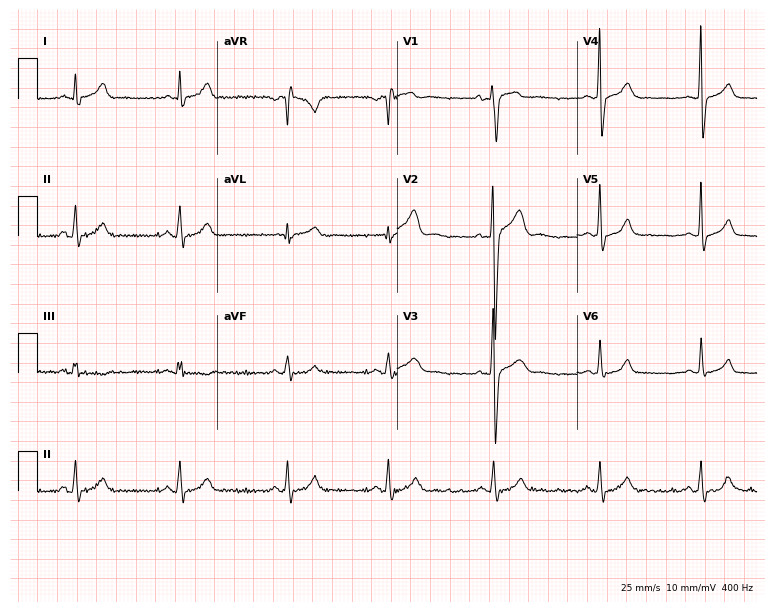
Resting 12-lead electrocardiogram. Patient: a man, 33 years old. Read as a normal ECG.